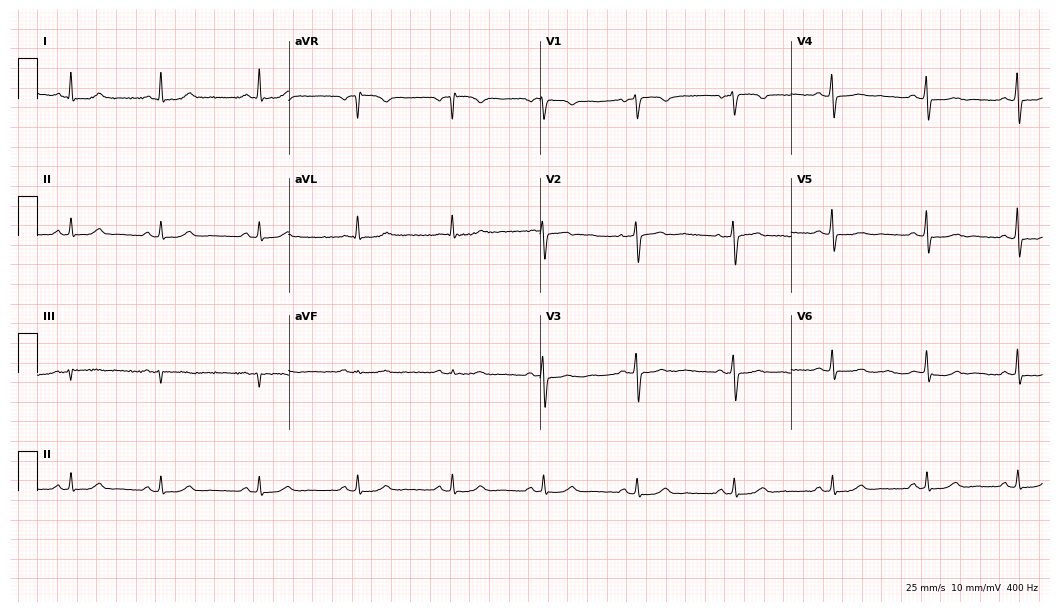
12-lead ECG from a 39-year-old female (10.2-second recording at 400 Hz). Recorded interpretation: within normal limits.